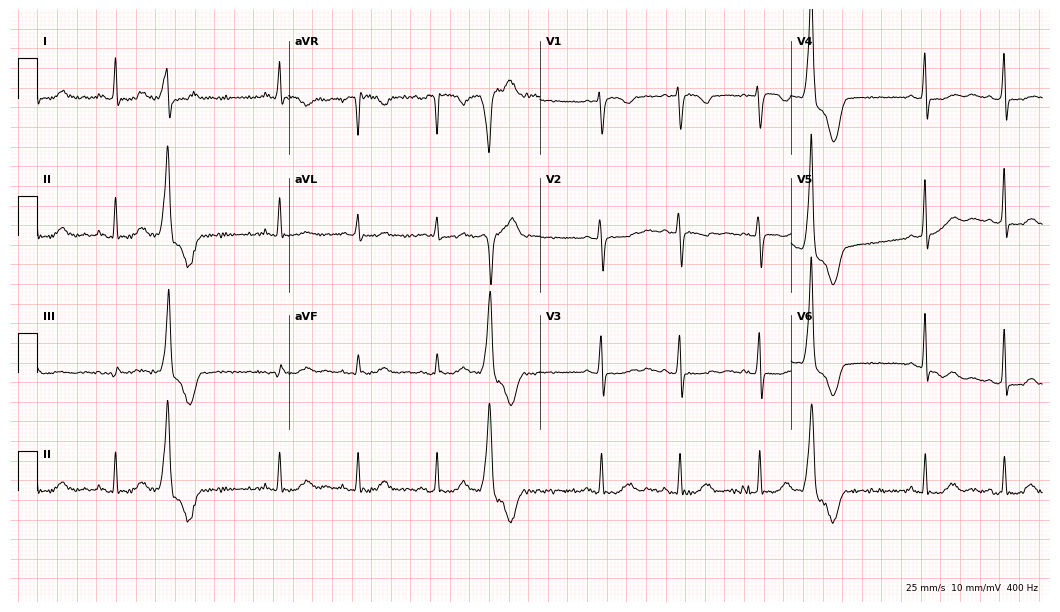
12-lead ECG (10.2-second recording at 400 Hz) from a female patient, 64 years old. Screened for six findings — first-degree AV block, right bundle branch block, left bundle branch block, sinus bradycardia, atrial fibrillation, sinus tachycardia — none is recorded. Findings outside these six are not listed.